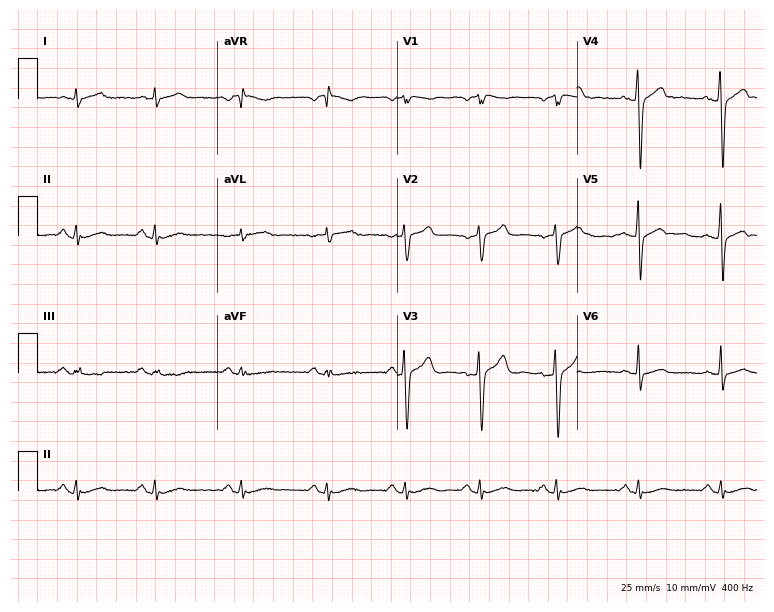
Resting 12-lead electrocardiogram. Patient: a male, 38 years old. None of these six findings is recorded: first-degree AV block, right bundle branch block, left bundle branch block, sinus bradycardia, atrial fibrillation, sinus tachycardia.